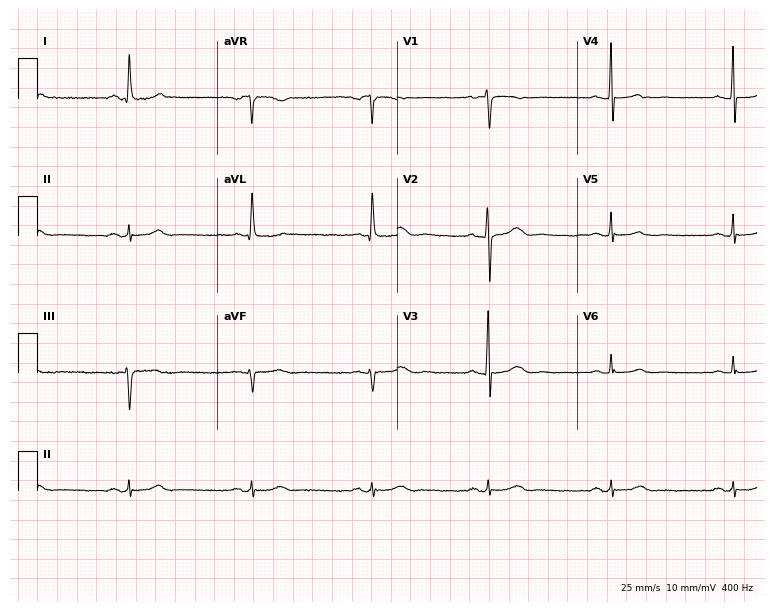
12-lead ECG from a 72-year-old female. Findings include sinus bradycardia (a sinus rate of 50 beats per minute or less).